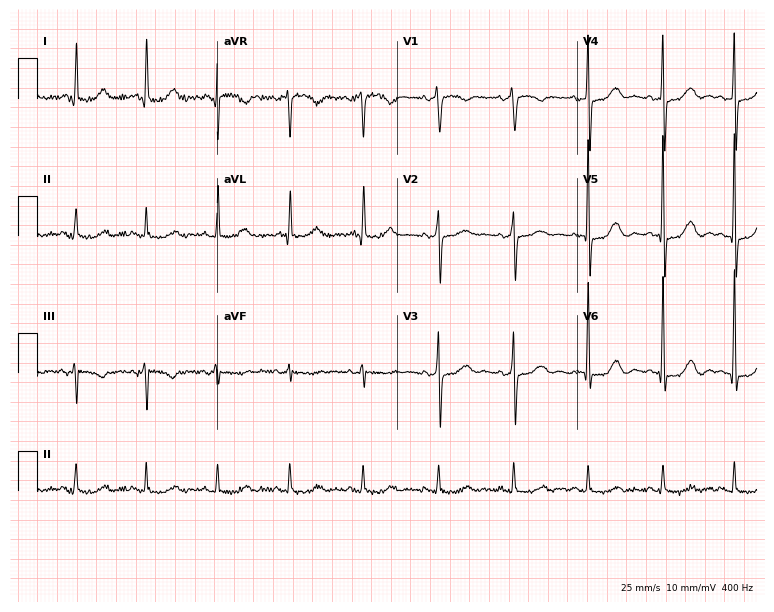
Standard 12-lead ECG recorded from a 77-year-old female (7.3-second recording at 400 Hz). None of these six findings is recorded: first-degree AV block, right bundle branch block (RBBB), left bundle branch block (LBBB), sinus bradycardia, atrial fibrillation (AF), sinus tachycardia.